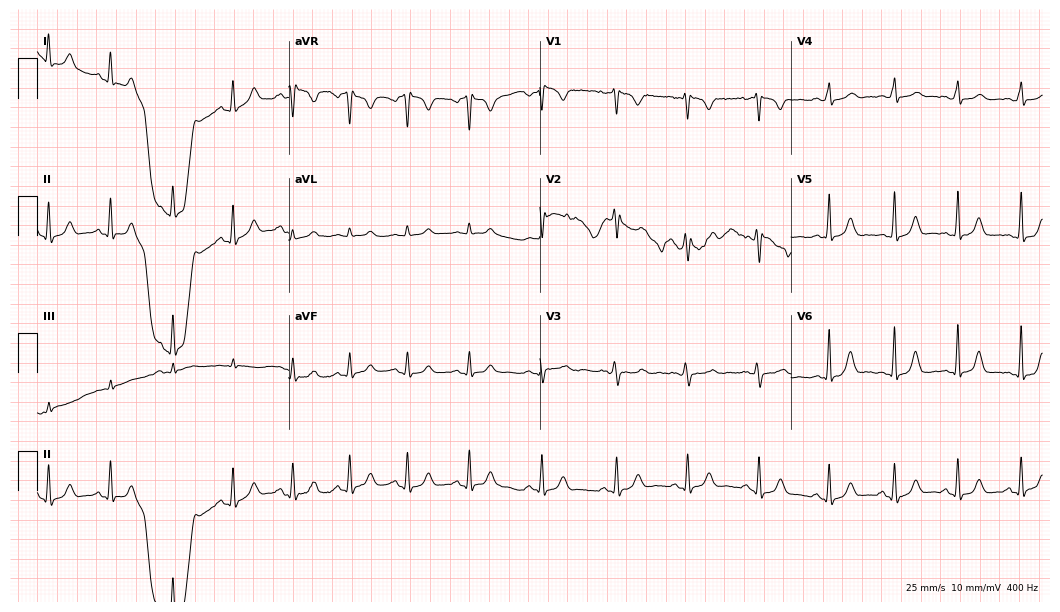
Electrocardiogram, a woman, 31 years old. Overall reading on record: normal ECG.